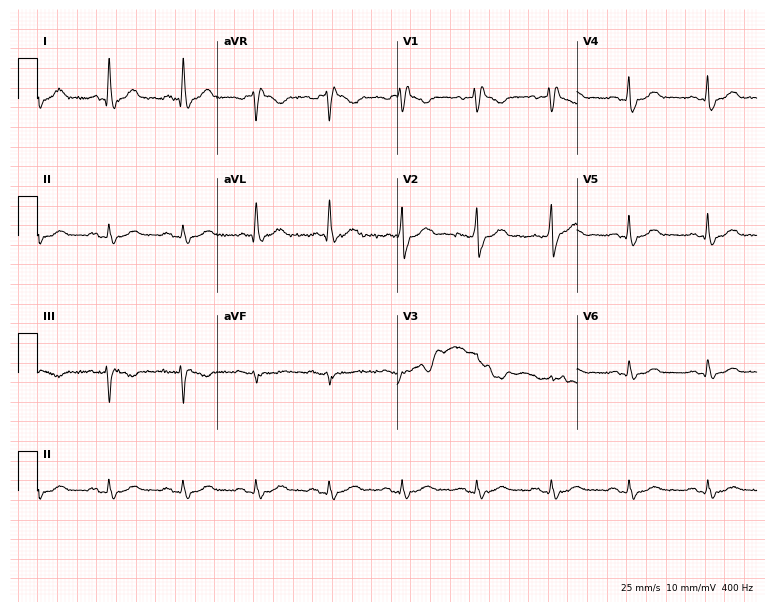
Electrocardiogram, a male patient, 63 years old. Of the six screened findings (first-degree AV block, right bundle branch block (RBBB), left bundle branch block (LBBB), sinus bradycardia, atrial fibrillation (AF), sinus tachycardia), none is recorded.